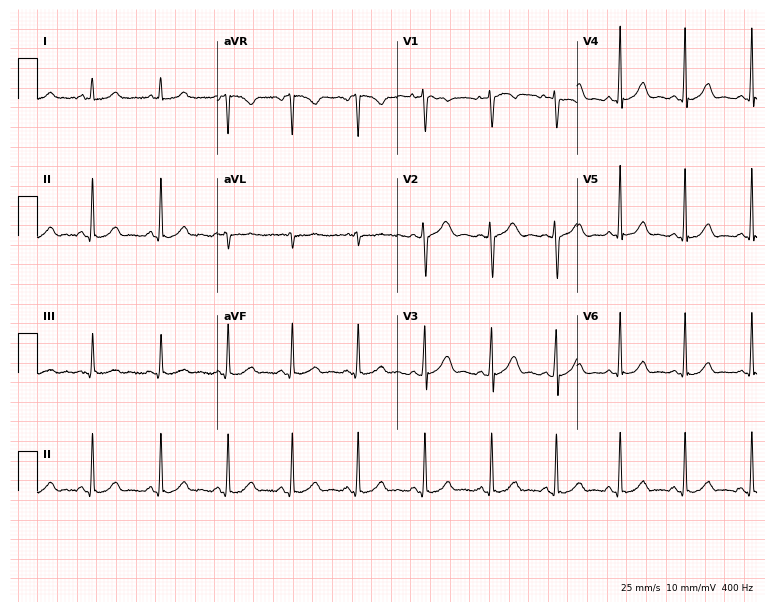
Electrocardiogram (7.3-second recording at 400 Hz), a female patient, 18 years old. Of the six screened findings (first-degree AV block, right bundle branch block, left bundle branch block, sinus bradycardia, atrial fibrillation, sinus tachycardia), none is recorded. Only these six findings were labelled.